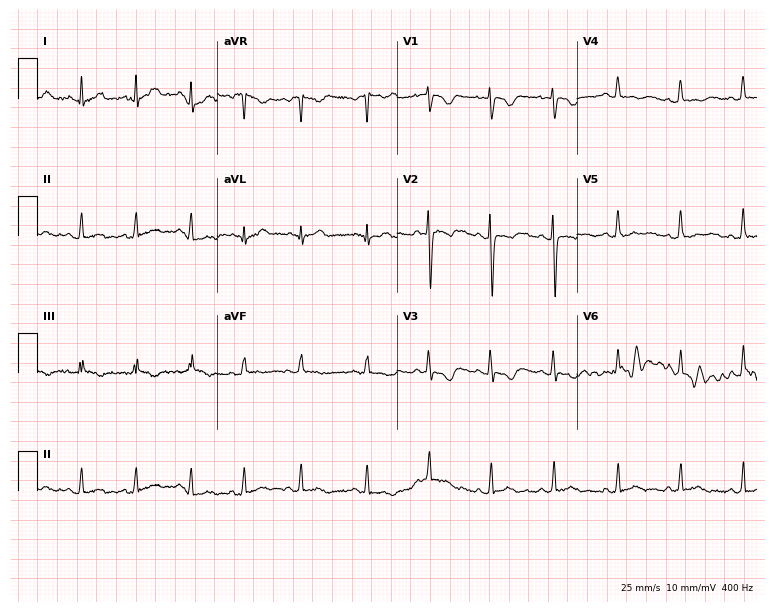
ECG (7.3-second recording at 400 Hz) — a male patient, 24 years old. Screened for six findings — first-degree AV block, right bundle branch block, left bundle branch block, sinus bradycardia, atrial fibrillation, sinus tachycardia — none is recorded. Only these six findings were labelled.